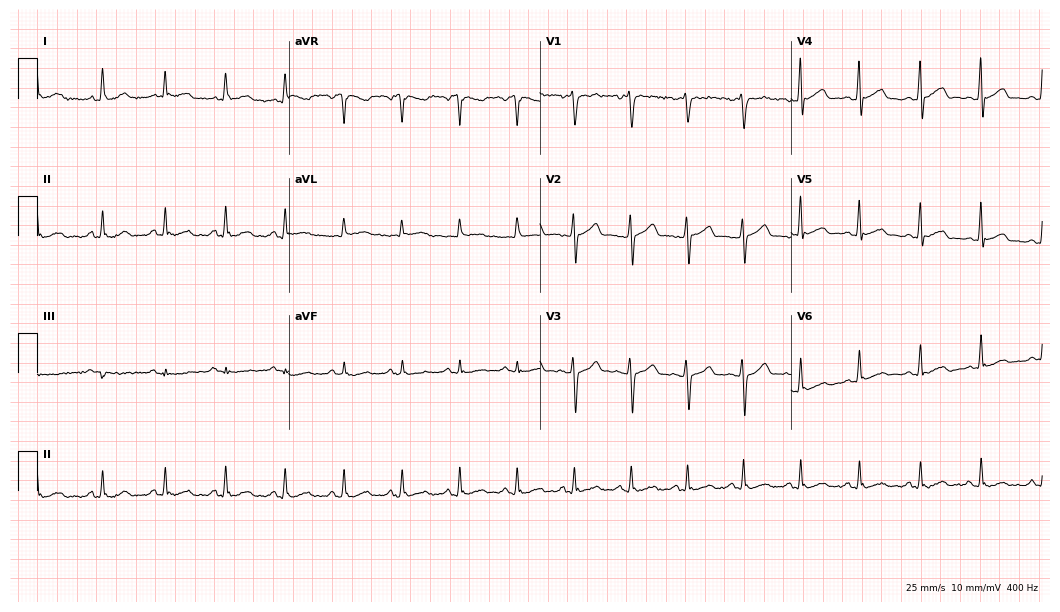
Standard 12-lead ECG recorded from a 36-year-old male patient (10.2-second recording at 400 Hz). The tracing shows sinus tachycardia (a sinus rate of 100 beats per minute or more).